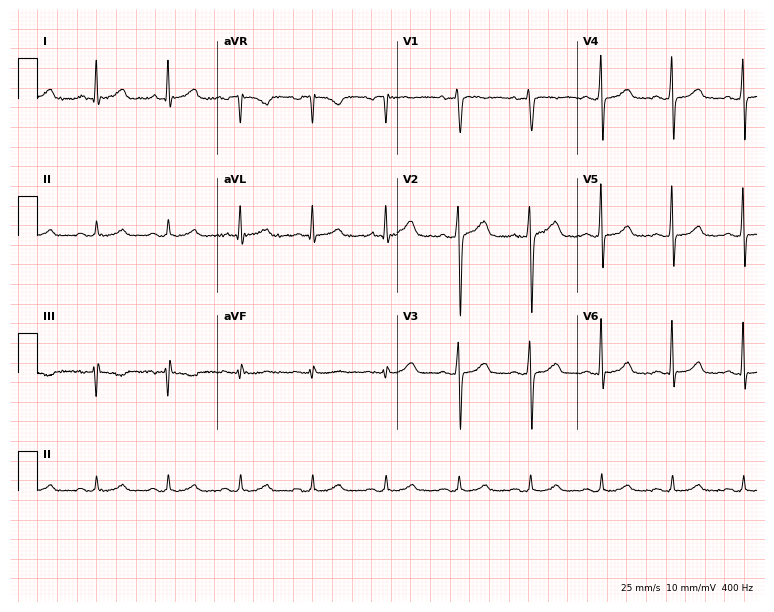
ECG — a 53-year-old male. Labelled as a normal ECG.